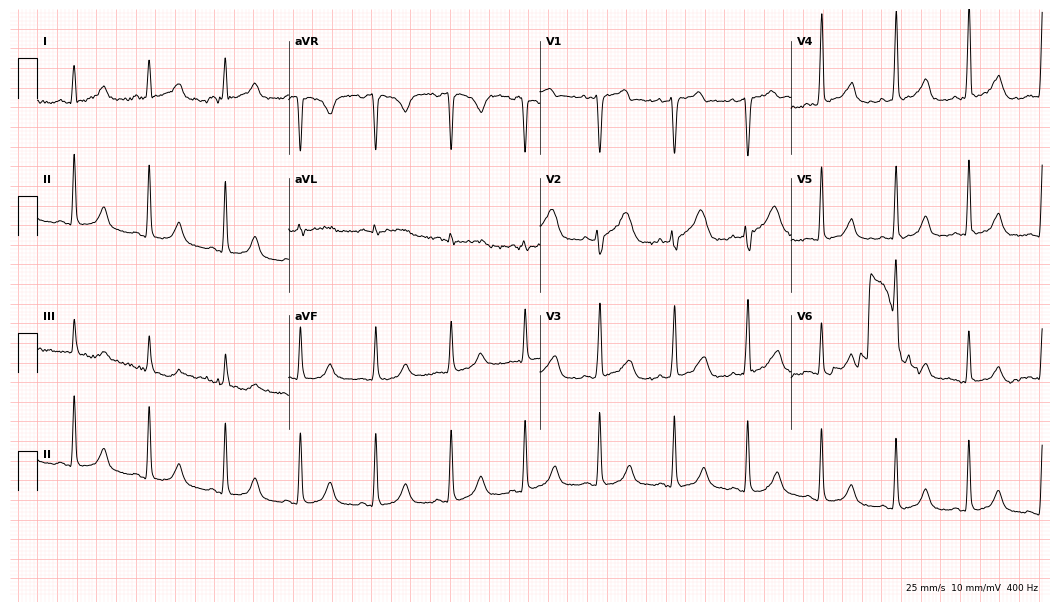
Electrocardiogram, a man, 27 years old. Overall reading on record: normal ECG.